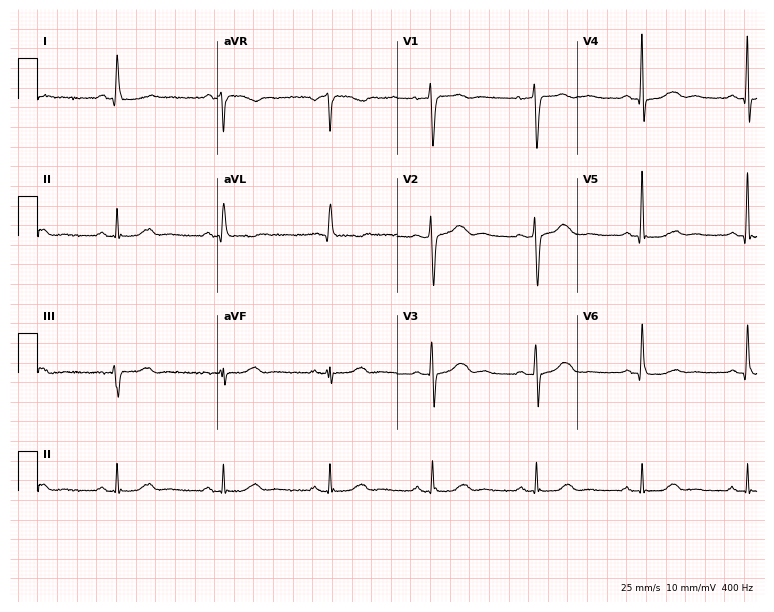
Resting 12-lead electrocardiogram (7.3-second recording at 400 Hz). Patient: a 74-year-old female. None of these six findings is recorded: first-degree AV block, right bundle branch block, left bundle branch block, sinus bradycardia, atrial fibrillation, sinus tachycardia. Only these six findings were labelled.